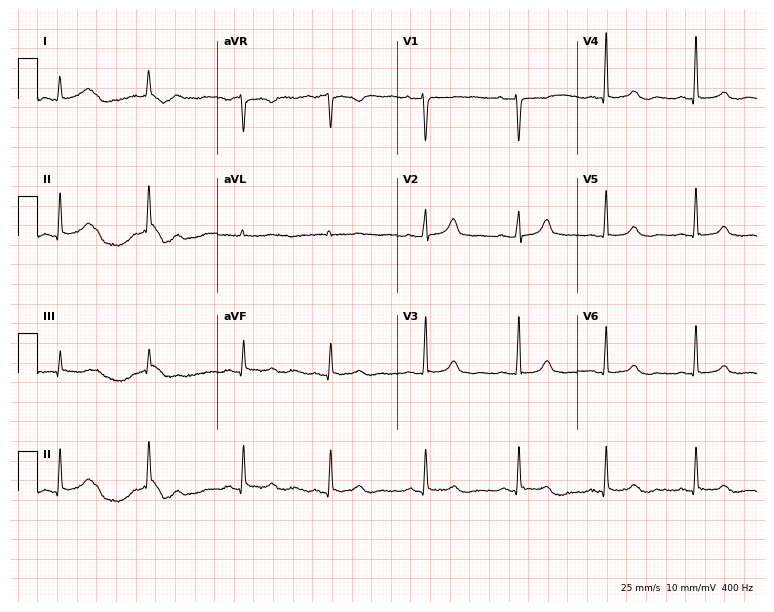
12-lead ECG from a 41-year-old female patient. Screened for six findings — first-degree AV block, right bundle branch block, left bundle branch block, sinus bradycardia, atrial fibrillation, sinus tachycardia — none is recorded. Findings outside these six are not listed.